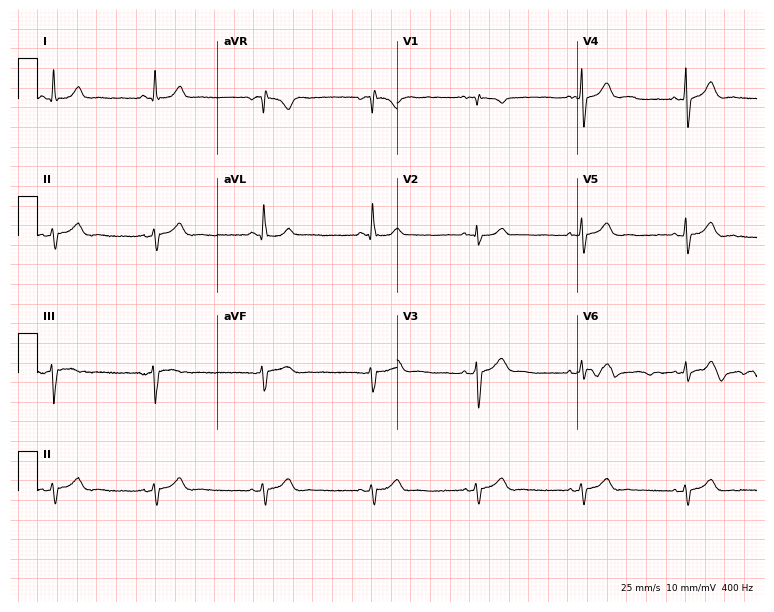
Standard 12-lead ECG recorded from a man, 53 years old (7.3-second recording at 400 Hz). None of these six findings is recorded: first-degree AV block, right bundle branch block, left bundle branch block, sinus bradycardia, atrial fibrillation, sinus tachycardia. Only these six findings were labelled.